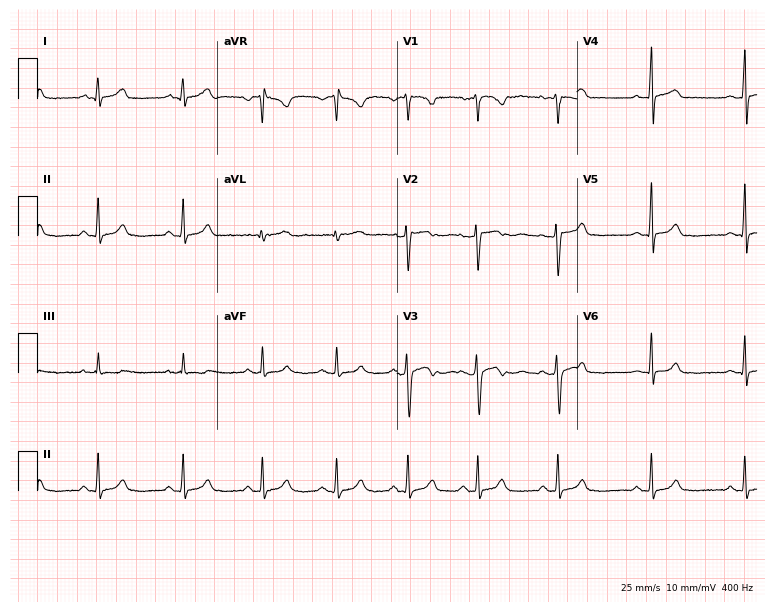
Electrocardiogram (7.3-second recording at 400 Hz), a 27-year-old female patient. Overall reading on record: normal ECG.